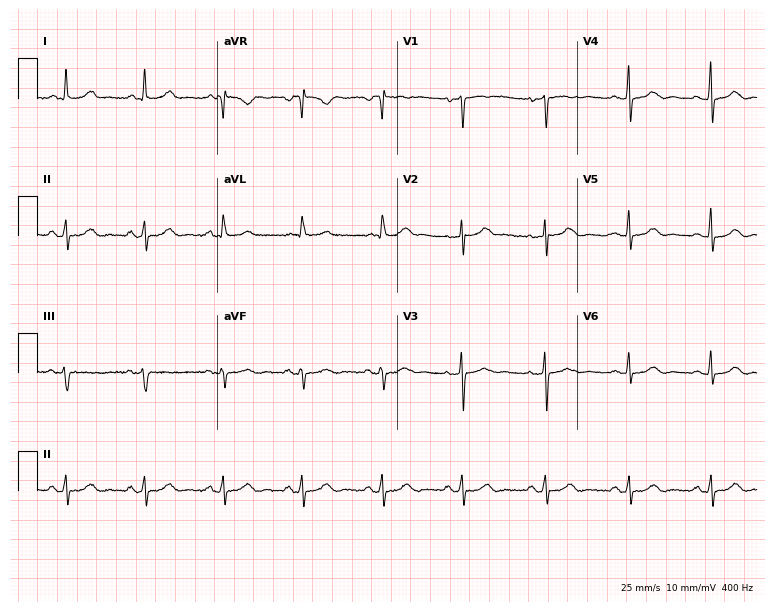
Standard 12-lead ECG recorded from a female patient, 63 years old (7.3-second recording at 400 Hz). Read as a normal ECG.